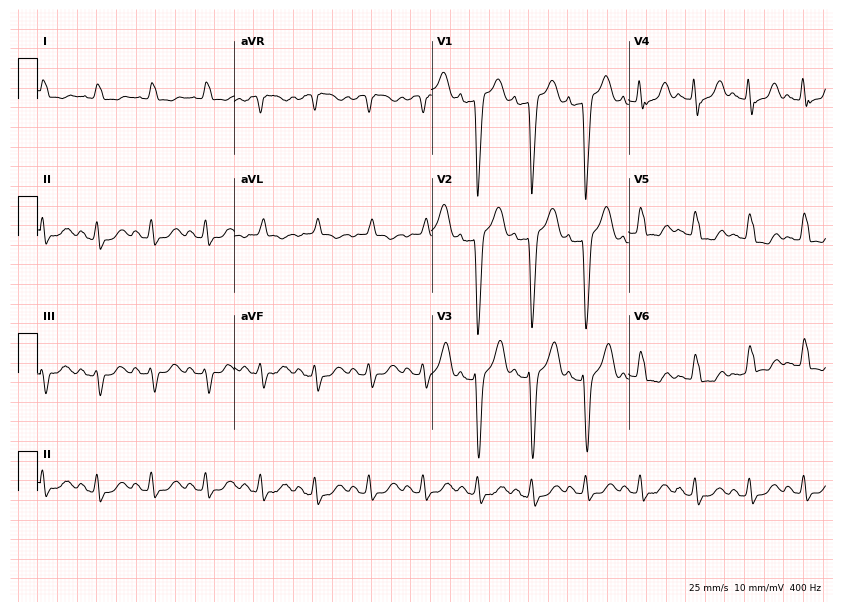
Electrocardiogram, a 79-year-old female. Interpretation includes left bundle branch block (LBBB), sinus tachycardia (a sinus rate of 100 beats per minute or more).